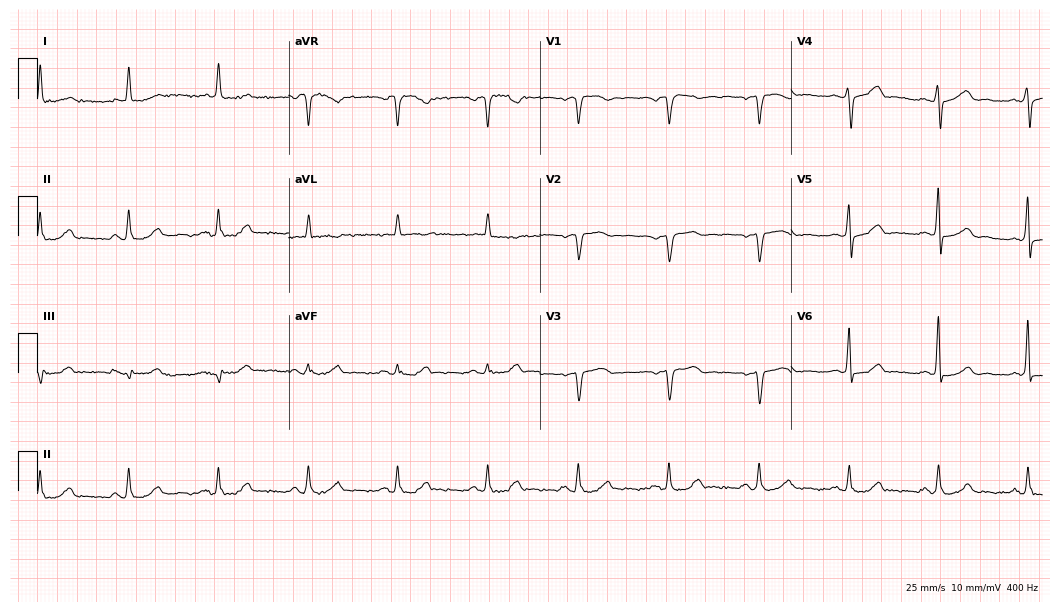
12-lead ECG from a 75-year-old woman. Screened for six findings — first-degree AV block, right bundle branch block, left bundle branch block, sinus bradycardia, atrial fibrillation, sinus tachycardia — none is recorded.